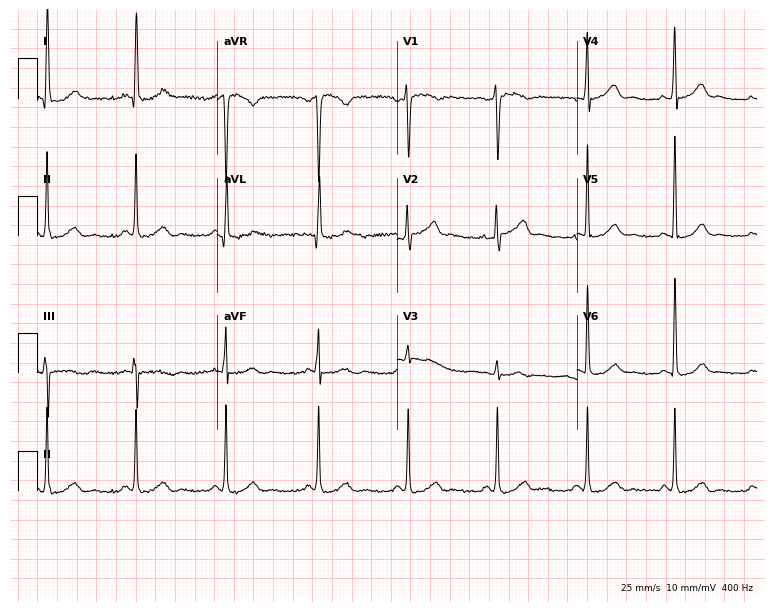
ECG — a woman, 45 years old. Labelled as a normal ECG.